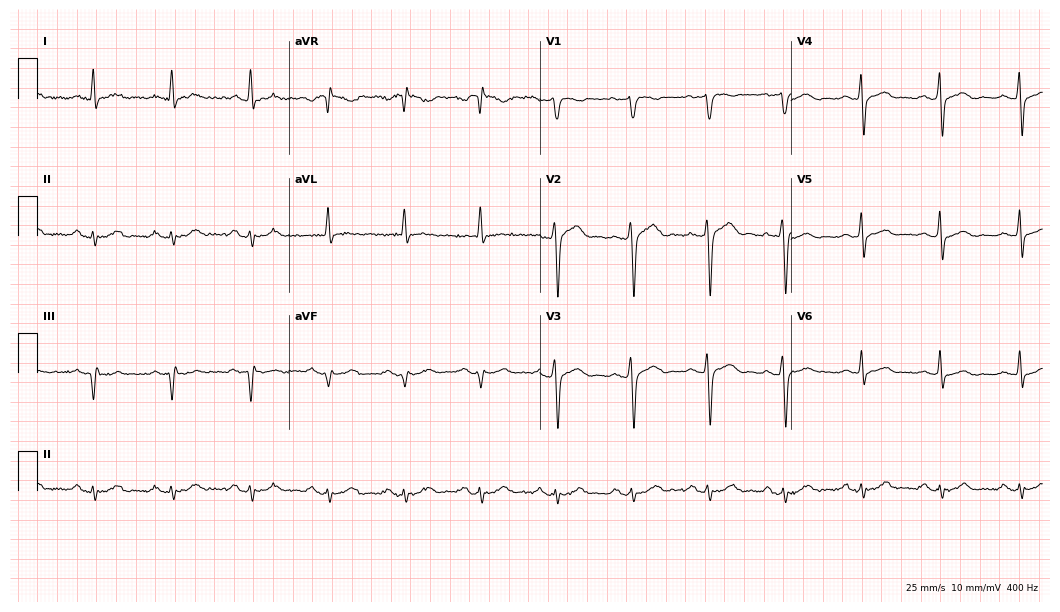
ECG (10.2-second recording at 400 Hz) — a 60-year-old male. Screened for six findings — first-degree AV block, right bundle branch block (RBBB), left bundle branch block (LBBB), sinus bradycardia, atrial fibrillation (AF), sinus tachycardia — none is recorded.